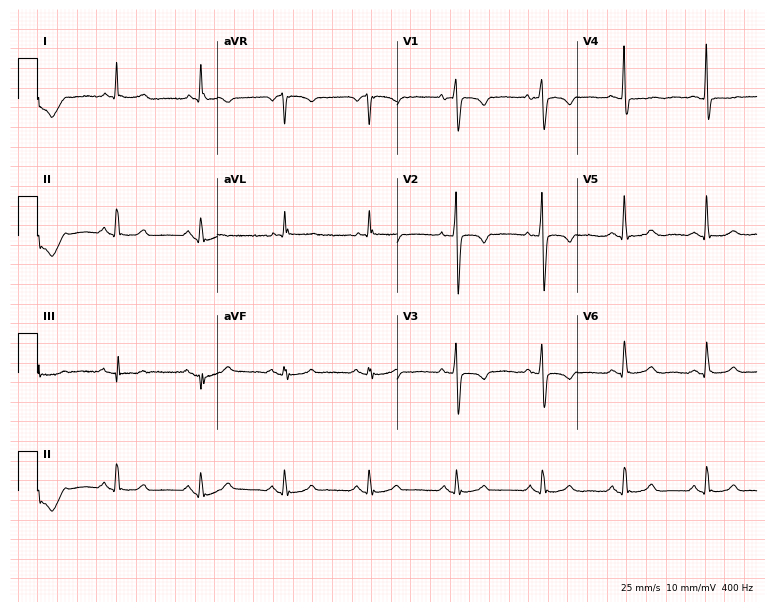
Standard 12-lead ECG recorded from a 64-year-old female patient (7.3-second recording at 400 Hz). None of these six findings is recorded: first-degree AV block, right bundle branch block, left bundle branch block, sinus bradycardia, atrial fibrillation, sinus tachycardia.